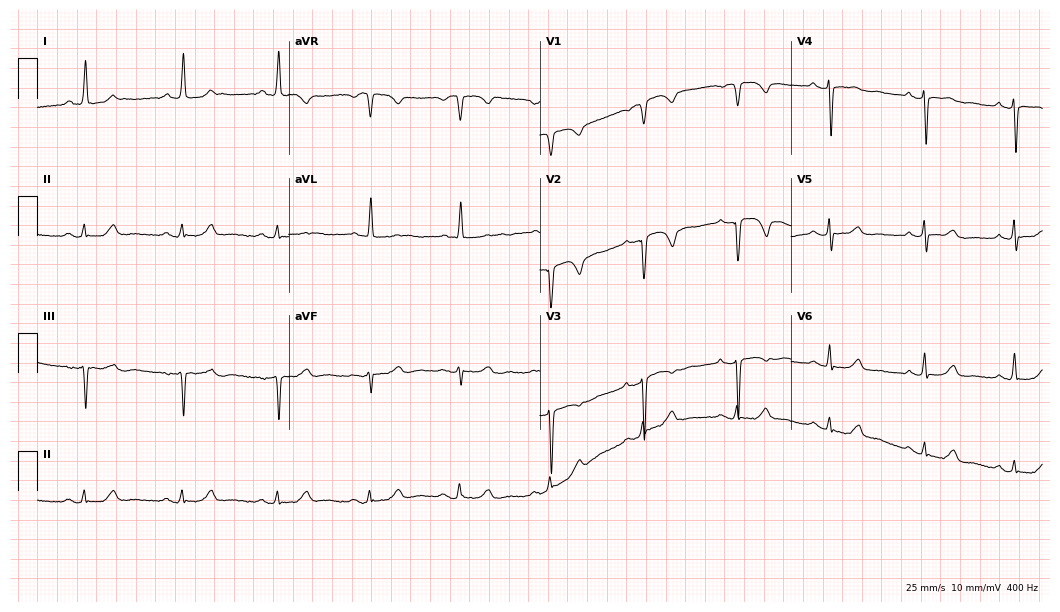
Standard 12-lead ECG recorded from a female, 64 years old. None of these six findings is recorded: first-degree AV block, right bundle branch block, left bundle branch block, sinus bradycardia, atrial fibrillation, sinus tachycardia. Findings outside these six are not listed.